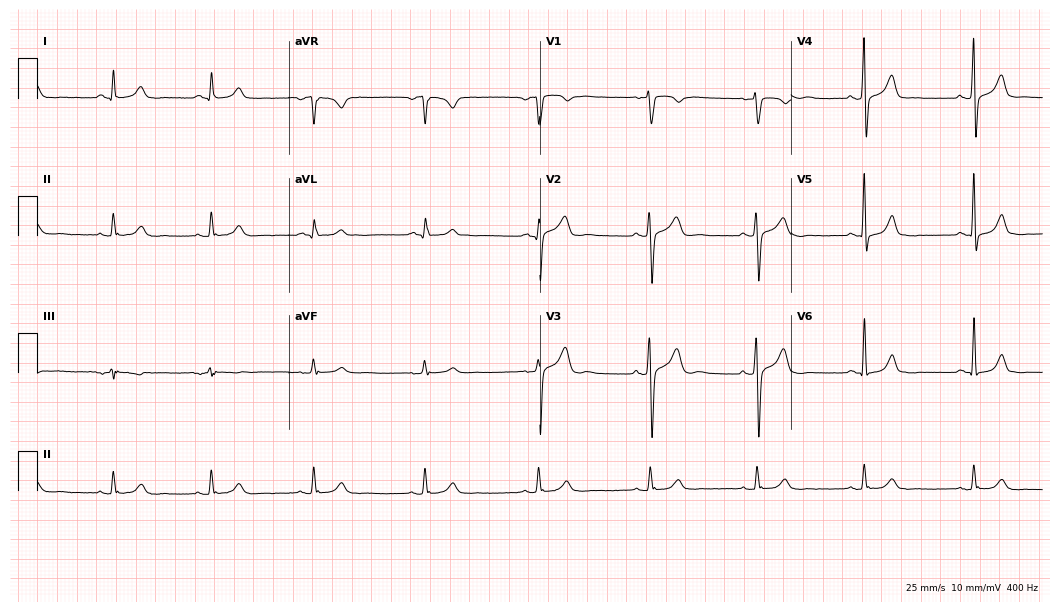
12-lead ECG from a man, 45 years old. Recorded interpretation: within normal limits.